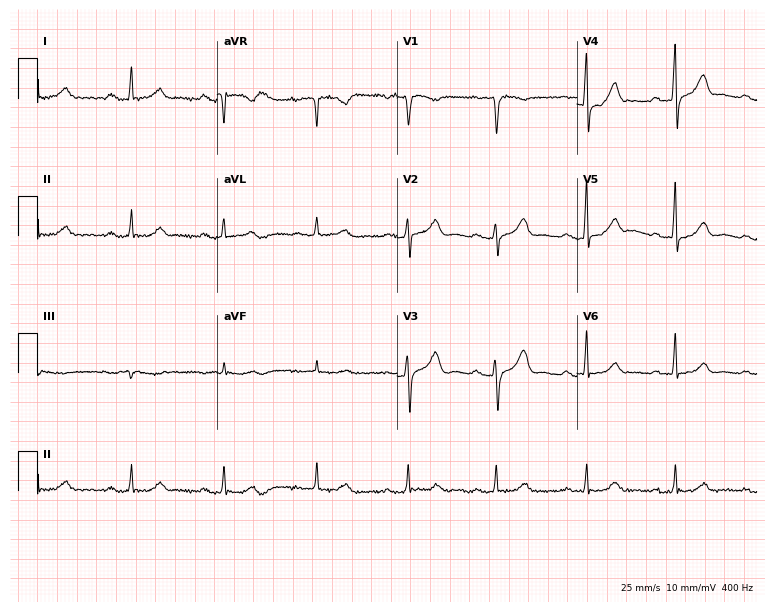
12-lead ECG from a 46-year-old woman. No first-degree AV block, right bundle branch block (RBBB), left bundle branch block (LBBB), sinus bradycardia, atrial fibrillation (AF) or sinus tachycardia recorded for this tracing. Findings outside these six are not listed.